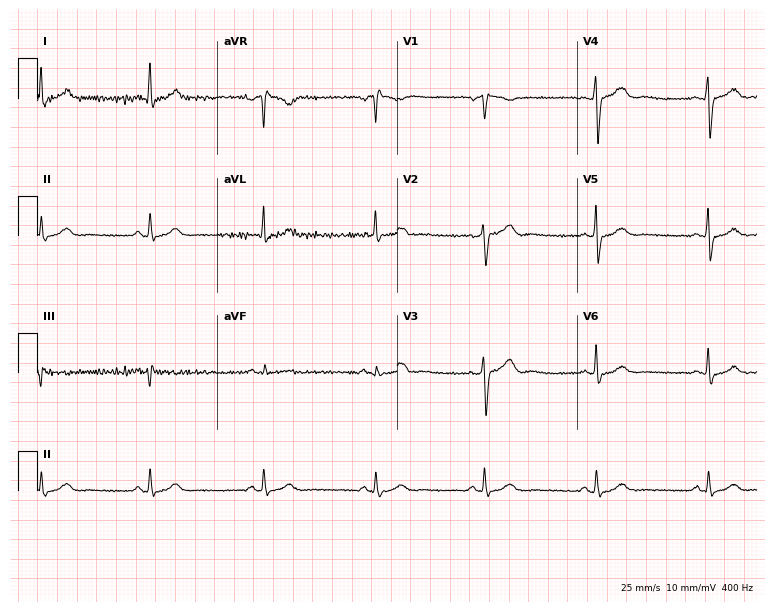
Electrocardiogram (7.3-second recording at 400 Hz), a 41-year-old woman. Overall reading on record: normal ECG.